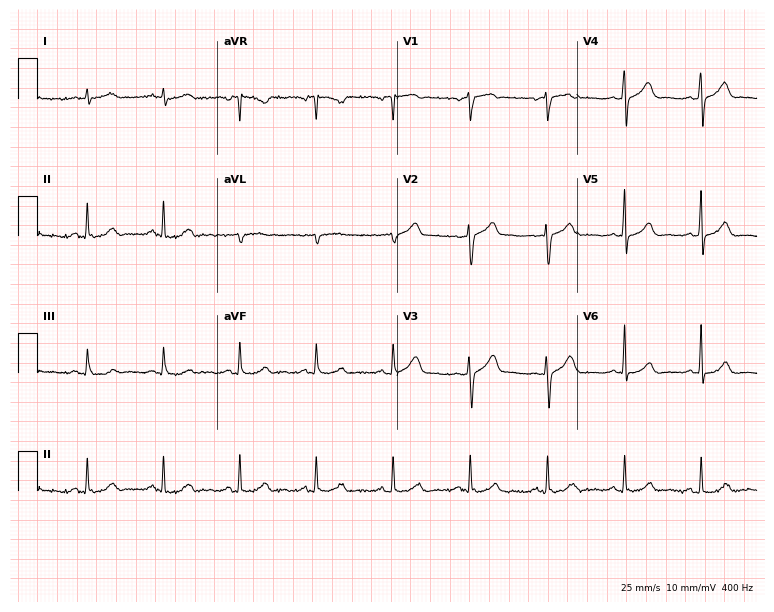
Resting 12-lead electrocardiogram. Patient: a man, 54 years old. Read as a normal ECG.